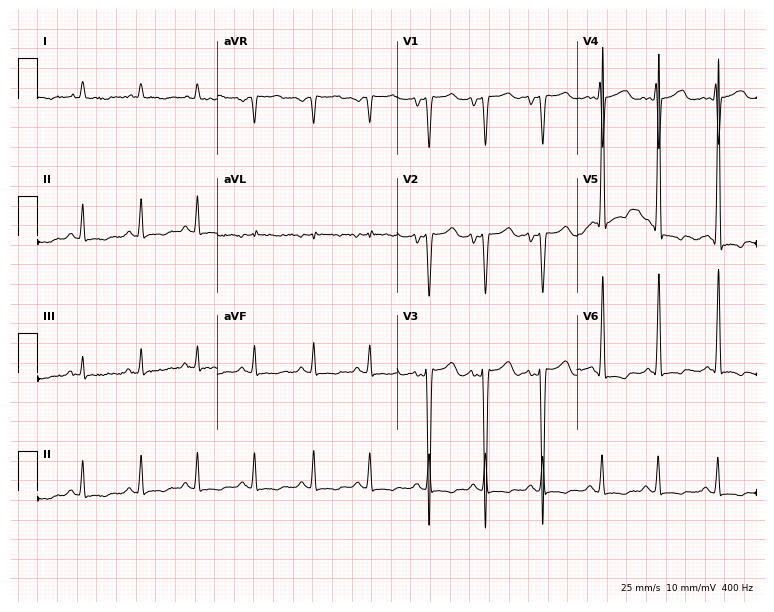
12-lead ECG from a 69-year-old male patient (7.3-second recording at 400 Hz). No first-degree AV block, right bundle branch block, left bundle branch block, sinus bradycardia, atrial fibrillation or sinus tachycardia recorded for this tracing.